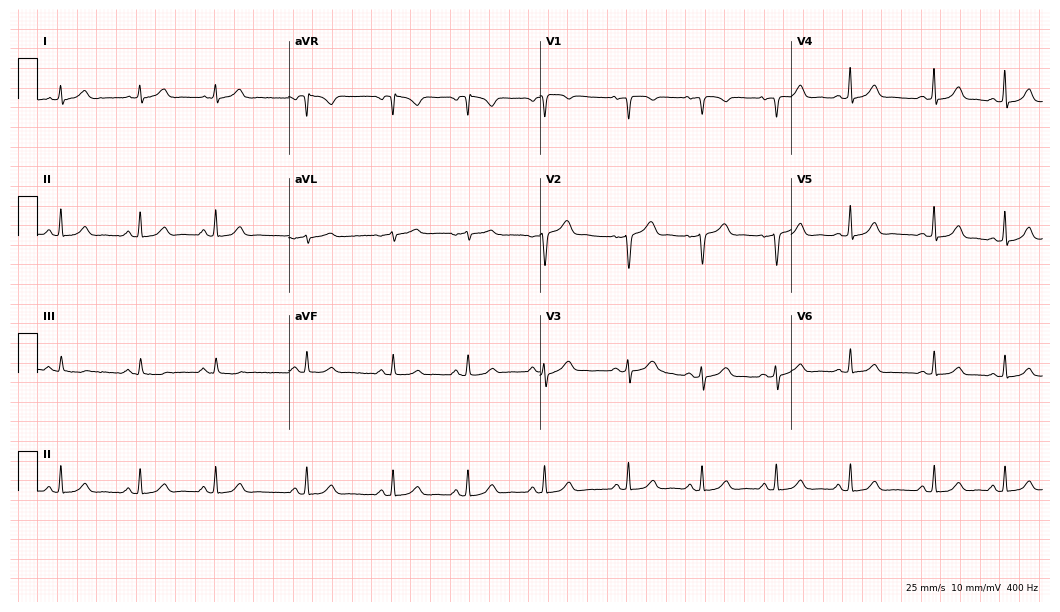
Standard 12-lead ECG recorded from a 33-year-old female patient. Read as a normal ECG.